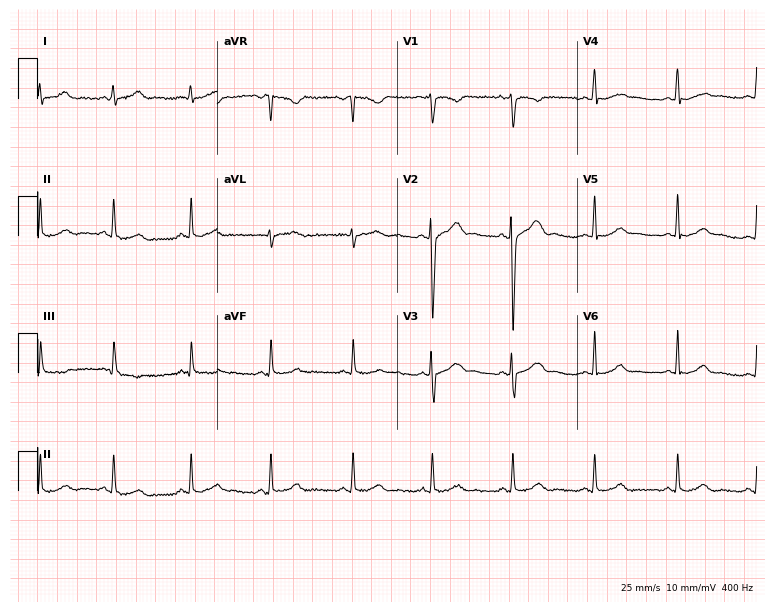
12-lead ECG from a female patient, 25 years old (7.3-second recording at 400 Hz). No first-degree AV block, right bundle branch block, left bundle branch block, sinus bradycardia, atrial fibrillation or sinus tachycardia recorded for this tracing.